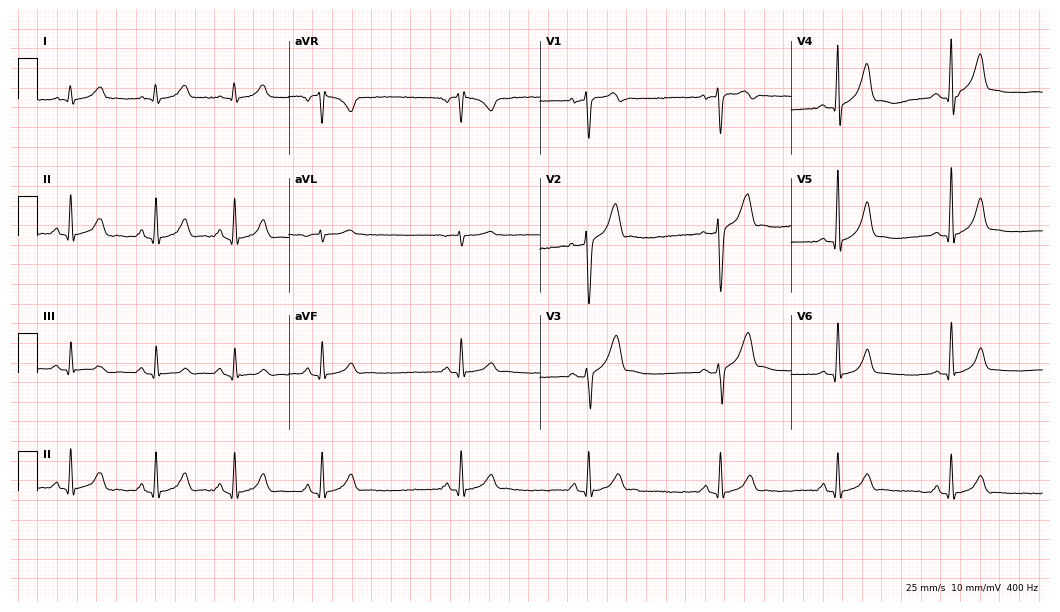
Resting 12-lead electrocardiogram (10.2-second recording at 400 Hz). Patient: a 35-year-old male. Read as a normal ECG.